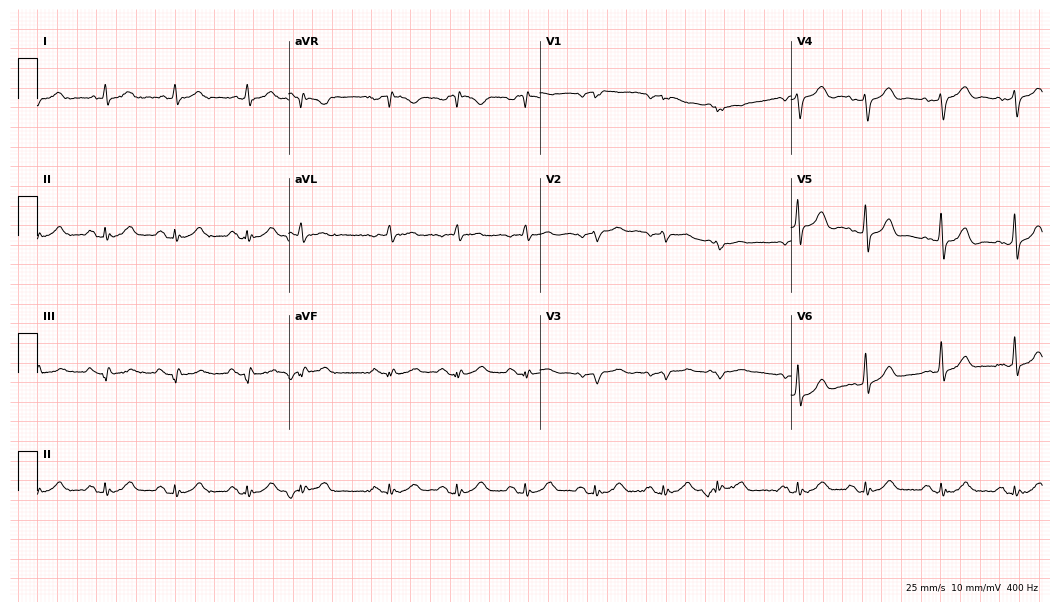
12-lead ECG from a male patient, 70 years old (10.2-second recording at 400 Hz). No first-degree AV block, right bundle branch block, left bundle branch block, sinus bradycardia, atrial fibrillation or sinus tachycardia recorded for this tracing. Only these six findings were labelled.